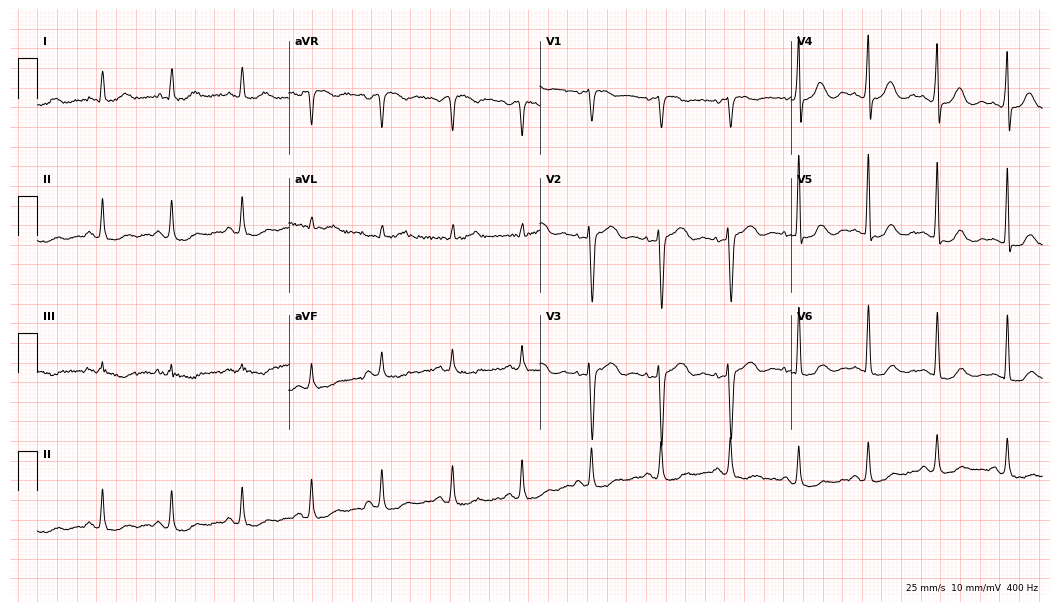
ECG — a female, 72 years old. Screened for six findings — first-degree AV block, right bundle branch block (RBBB), left bundle branch block (LBBB), sinus bradycardia, atrial fibrillation (AF), sinus tachycardia — none is recorded. Only these six findings were labelled.